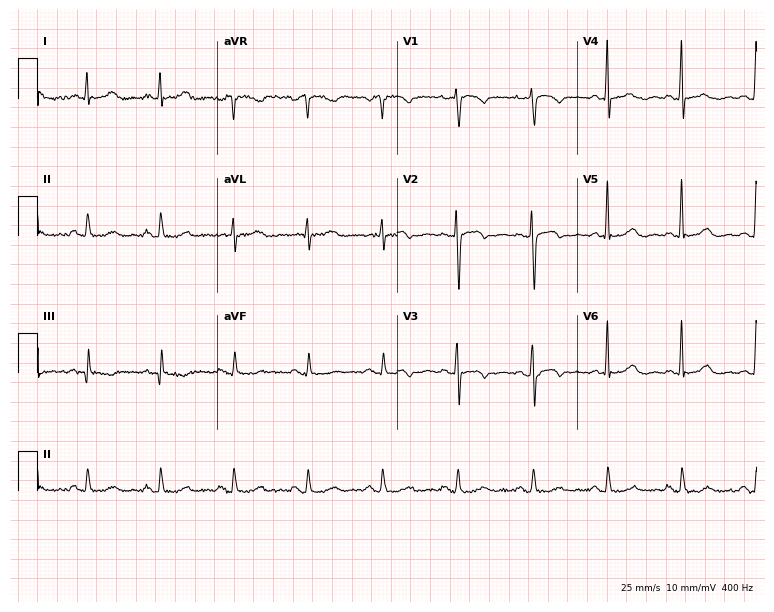
Electrocardiogram (7.3-second recording at 400 Hz), a 76-year-old woman. Of the six screened findings (first-degree AV block, right bundle branch block, left bundle branch block, sinus bradycardia, atrial fibrillation, sinus tachycardia), none is recorded.